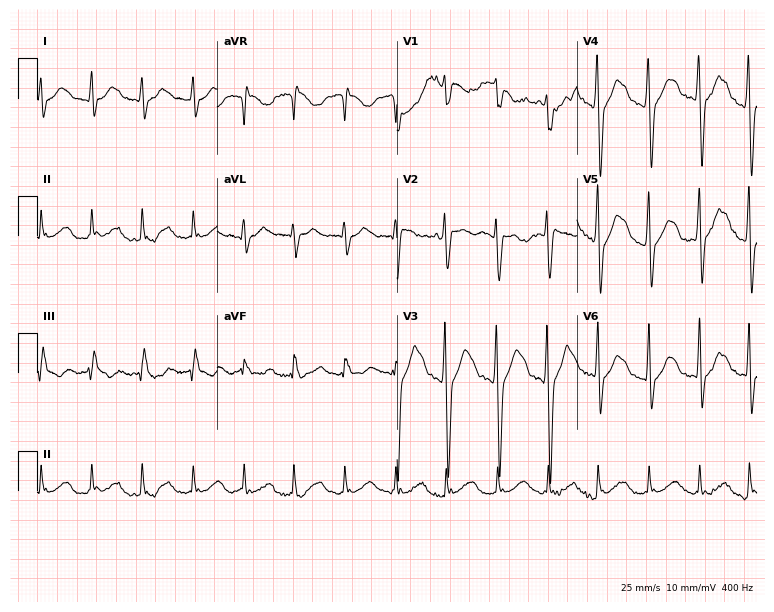
12-lead ECG from a man, 33 years old. No first-degree AV block, right bundle branch block, left bundle branch block, sinus bradycardia, atrial fibrillation or sinus tachycardia recorded for this tracing. Only these six findings were labelled.